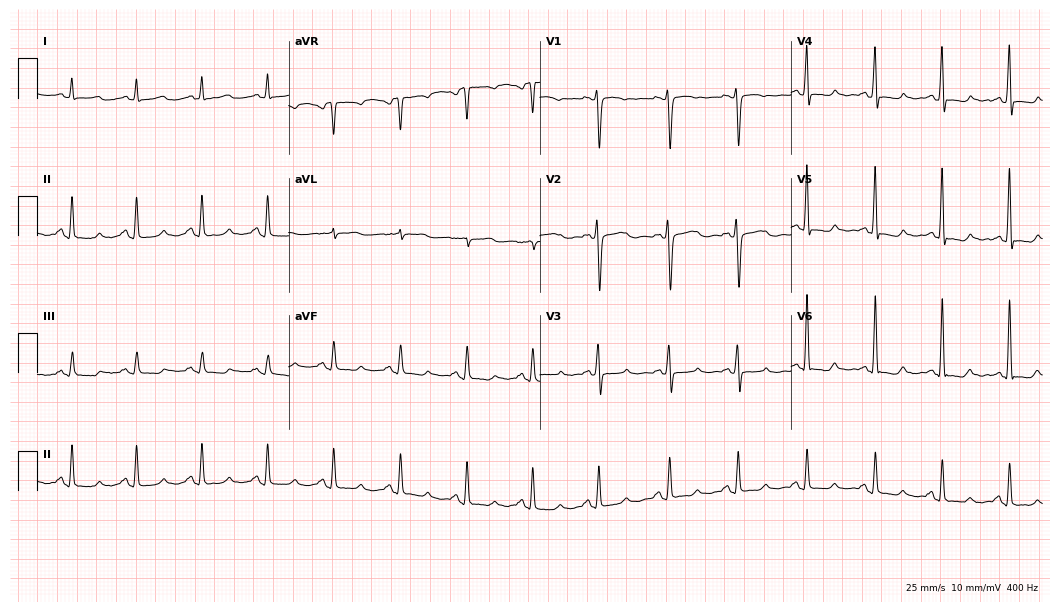
Resting 12-lead electrocardiogram. Patient: a woman, 44 years old. Read as a normal ECG.